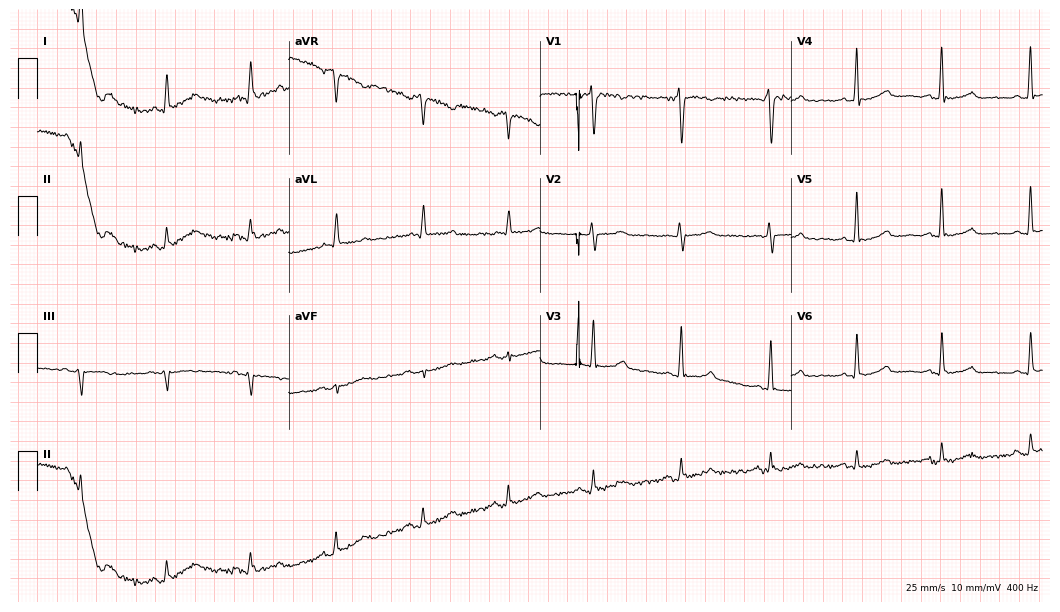
ECG — a woman, 52 years old. Labelled as a normal ECG.